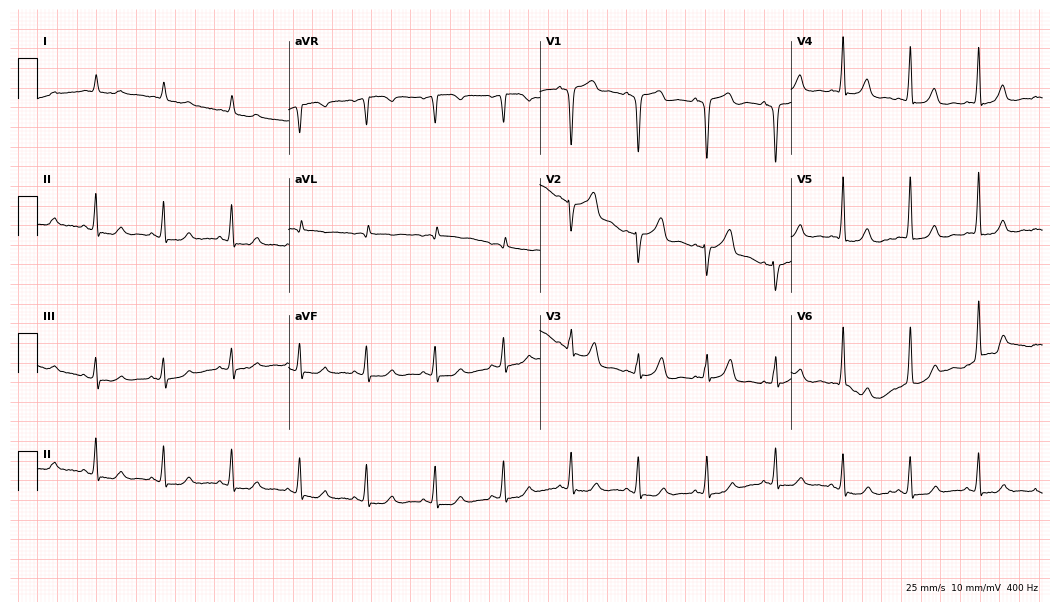
12-lead ECG from a female, 78 years old. No first-degree AV block, right bundle branch block, left bundle branch block, sinus bradycardia, atrial fibrillation or sinus tachycardia recorded for this tracing. Only these six findings were labelled.